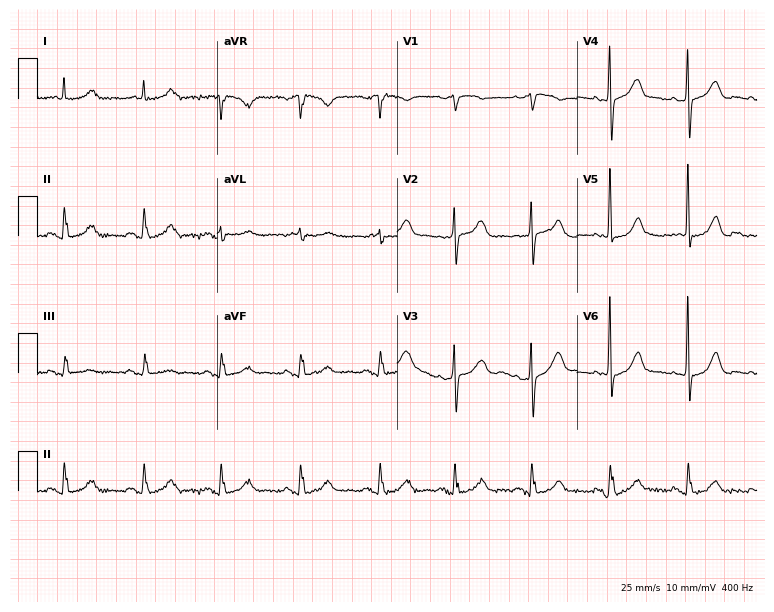
Standard 12-lead ECG recorded from a 79-year-old female patient (7.3-second recording at 400 Hz). None of these six findings is recorded: first-degree AV block, right bundle branch block (RBBB), left bundle branch block (LBBB), sinus bradycardia, atrial fibrillation (AF), sinus tachycardia.